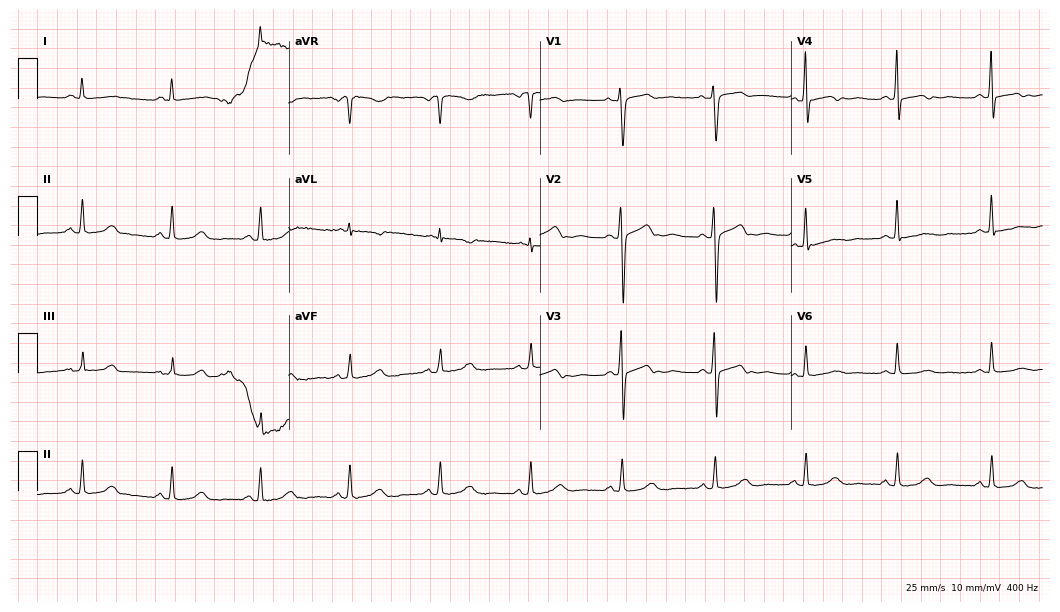
Electrocardiogram, a female patient, 59 years old. Of the six screened findings (first-degree AV block, right bundle branch block, left bundle branch block, sinus bradycardia, atrial fibrillation, sinus tachycardia), none is recorded.